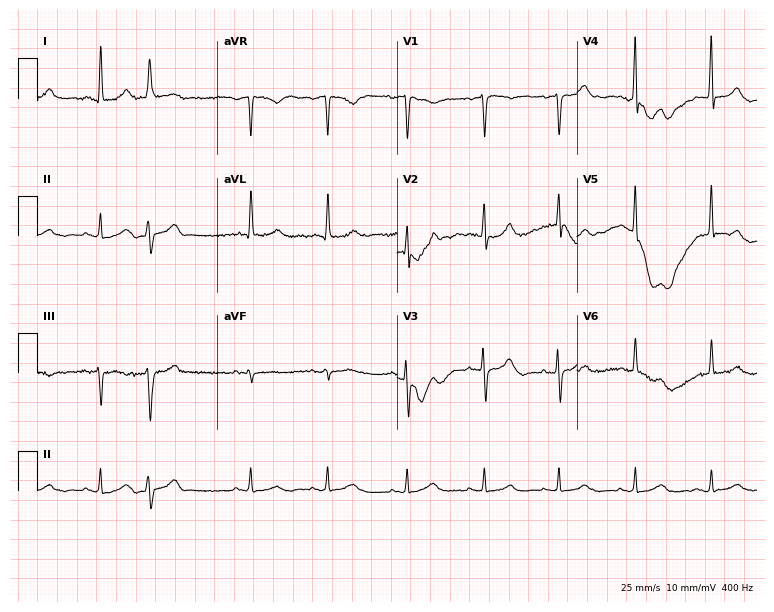
12-lead ECG from a 75-year-old male. No first-degree AV block, right bundle branch block (RBBB), left bundle branch block (LBBB), sinus bradycardia, atrial fibrillation (AF) or sinus tachycardia recorded for this tracing. Only these six findings were labelled.